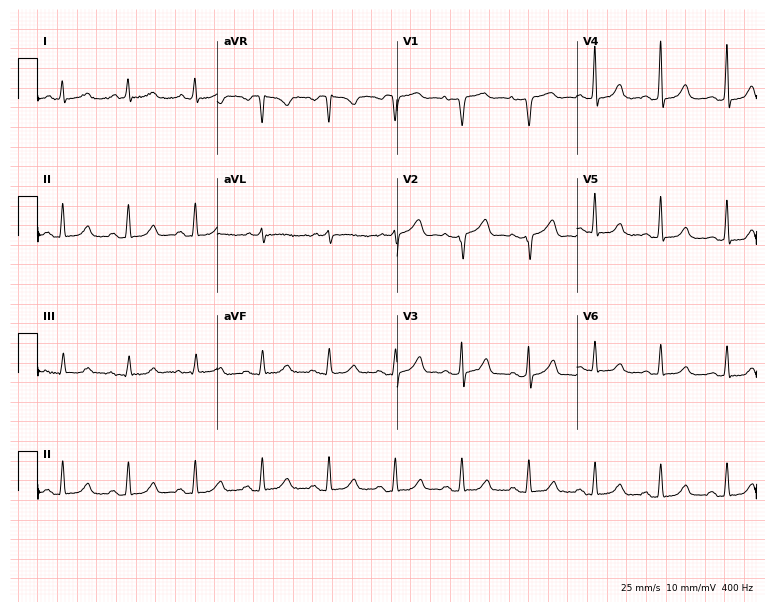
12-lead ECG from a female, 57 years old. No first-degree AV block, right bundle branch block, left bundle branch block, sinus bradycardia, atrial fibrillation or sinus tachycardia recorded for this tracing.